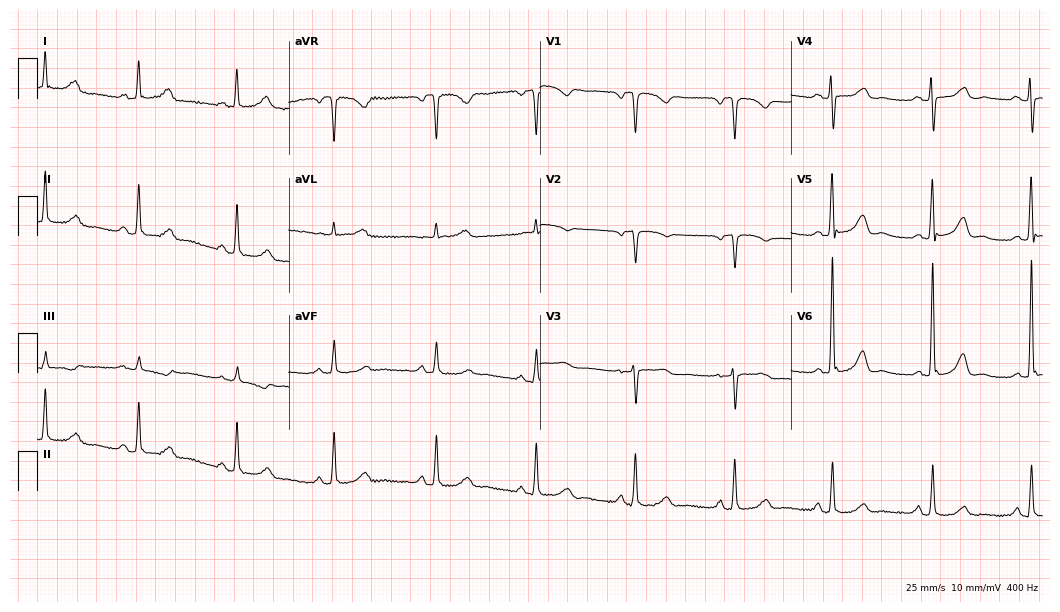
Standard 12-lead ECG recorded from a 68-year-old female. Read as a normal ECG.